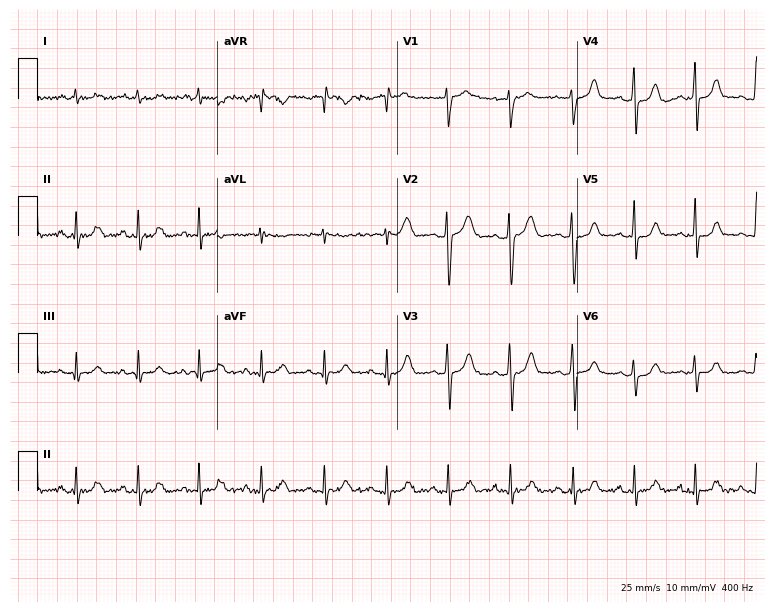
ECG — a 28-year-old female patient. Screened for six findings — first-degree AV block, right bundle branch block, left bundle branch block, sinus bradycardia, atrial fibrillation, sinus tachycardia — none is recorded.